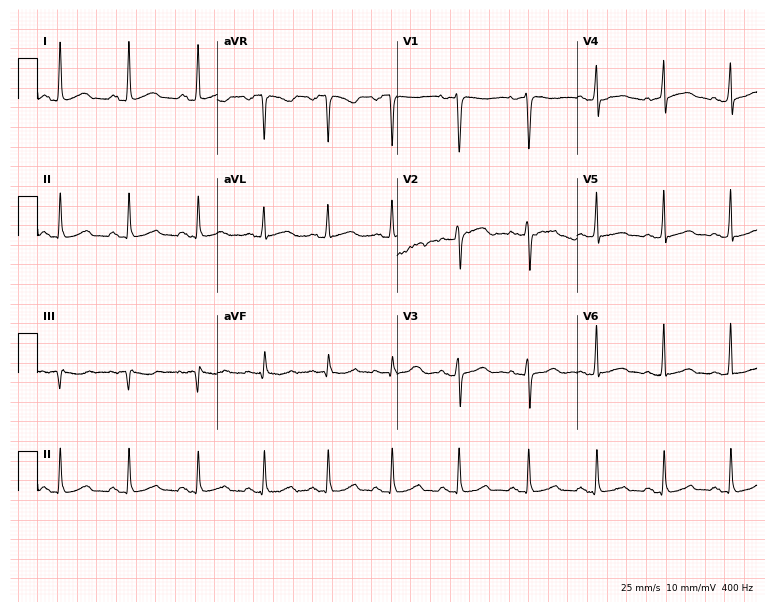
ECG — a woman, 39 years old. Labelled as a normal ECG.